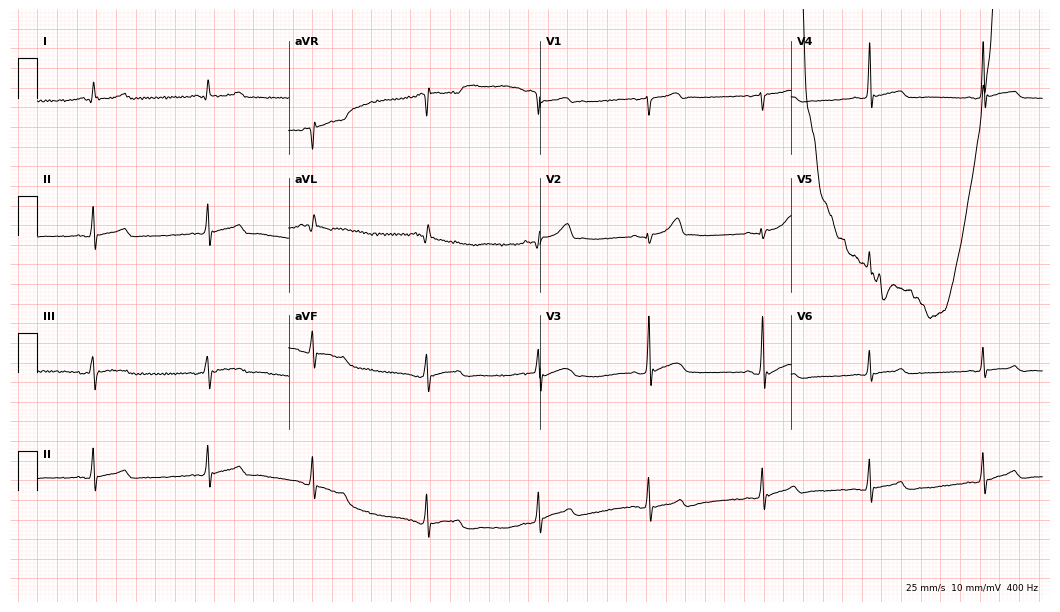
Electrocardiogram (10.2-second recording at 400 Hz), a 33-year-old male patient. Of the six screened findings (first-degree AV block, right bundle branch block, left bundle branch block, sinus bradycardia, atrial fibrillation, sinus tachycardia), none is recorded. Only these six findings were labelled.